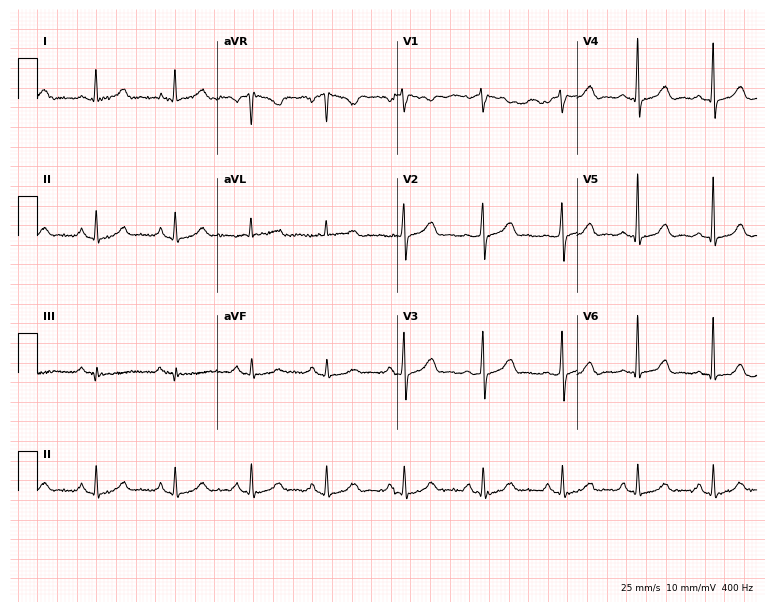
ECG — a female patient, 31 years old. Labelled as a normal ECG.